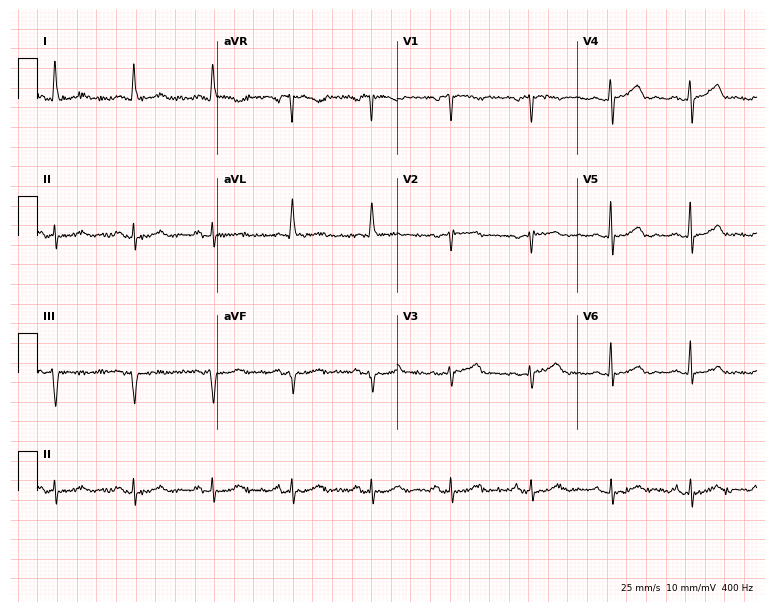
ECG — a 67-year-old female. Screened for six findings — first-degree AV block, right bundle branch block, left bundle branch block, sinus bradycardia, atrial fibrillation, sinus tachycardia — none is recorded.